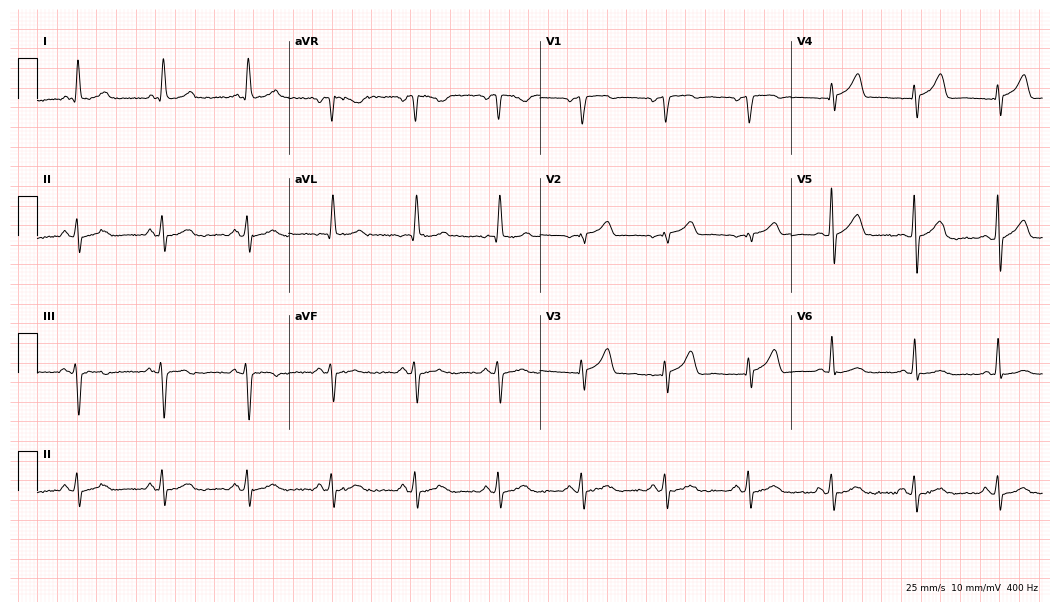
Electrocardiogram (10.2-second recording at 400 Hz), a 72-year-old man. Of the six screened findings (first-degree AV block, right bundle branch block (RBBB), left bundle branch block (LBBB), sinus bradycardia, atrial fibrillation (AF), sinus tachycardia), none is recorded. Findings outside these six are not listed.